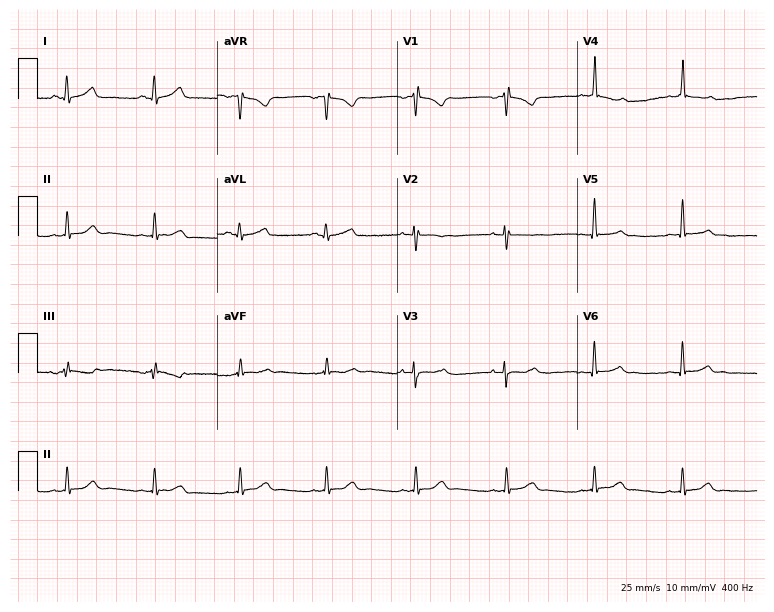
12-lead ECG from a 22-year-old woman. Labelled as a normal ECG.